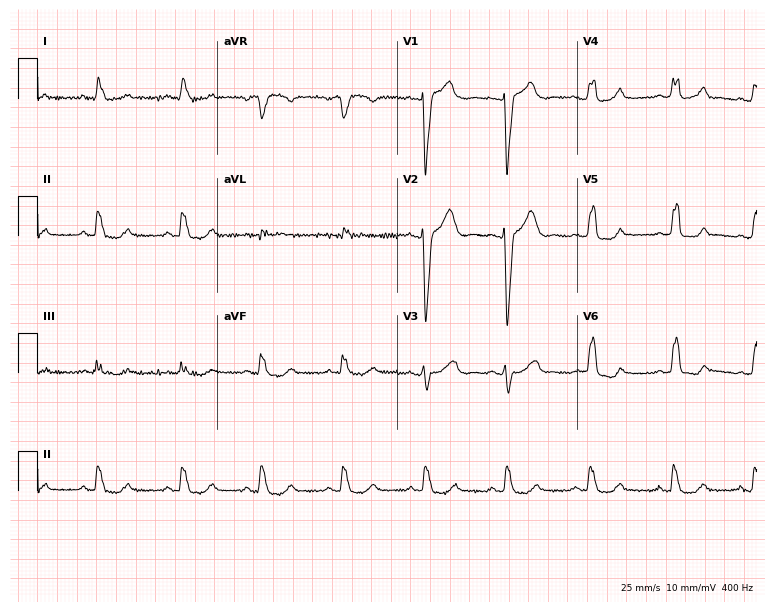
ECG (7.3-second recording at 400 Hz) — a female, 40 years old. Screened for six findings — first-degree AV block, right bundle branch block, left bundle branch block, sinus bradycardia, atrial fibrillation, sinus tachycardia — none is recorded.